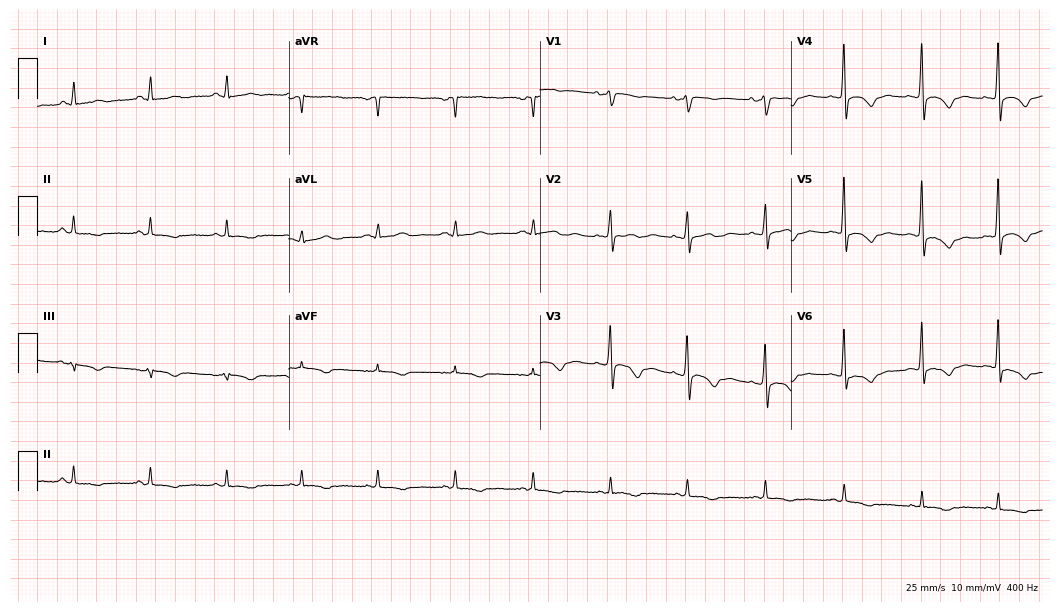
ECG — a female patient, 47 years old. Screened for six findings — first-degree AV block, right bundle branch block, left bundle branch block, sinus bradycardia, atrial fibrillation, sinus tachycardia — none is recorded.